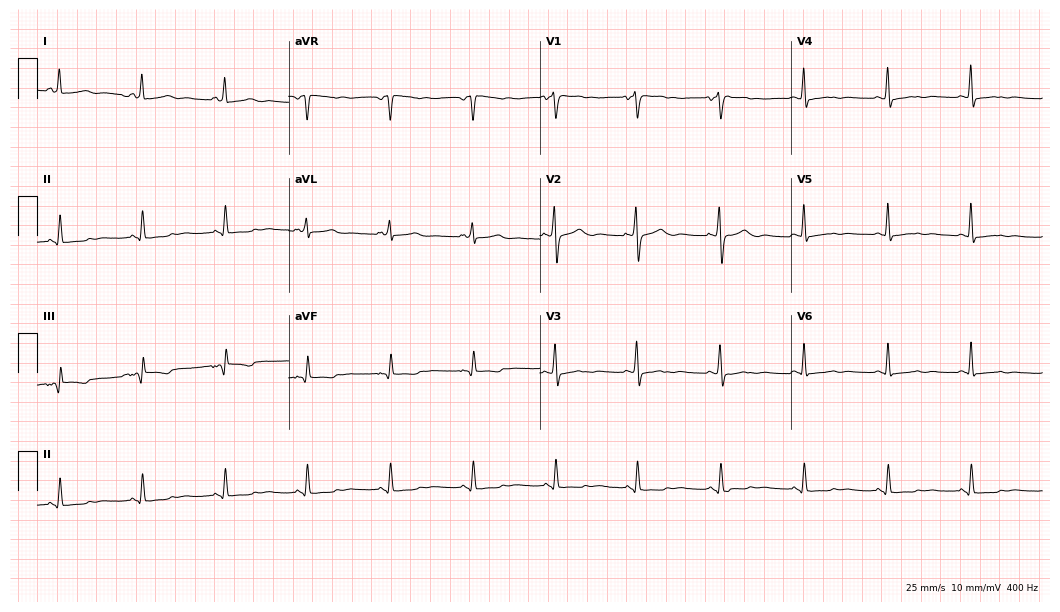
12-lead ECG from a 17-year-old woman. No first-degree AV block, right bundle branch block, left bundle branch block, sinus bradycardia, atrial fibrillation or sinus tachycardia recorded for this tracing. Other findings, if any, are not listed.